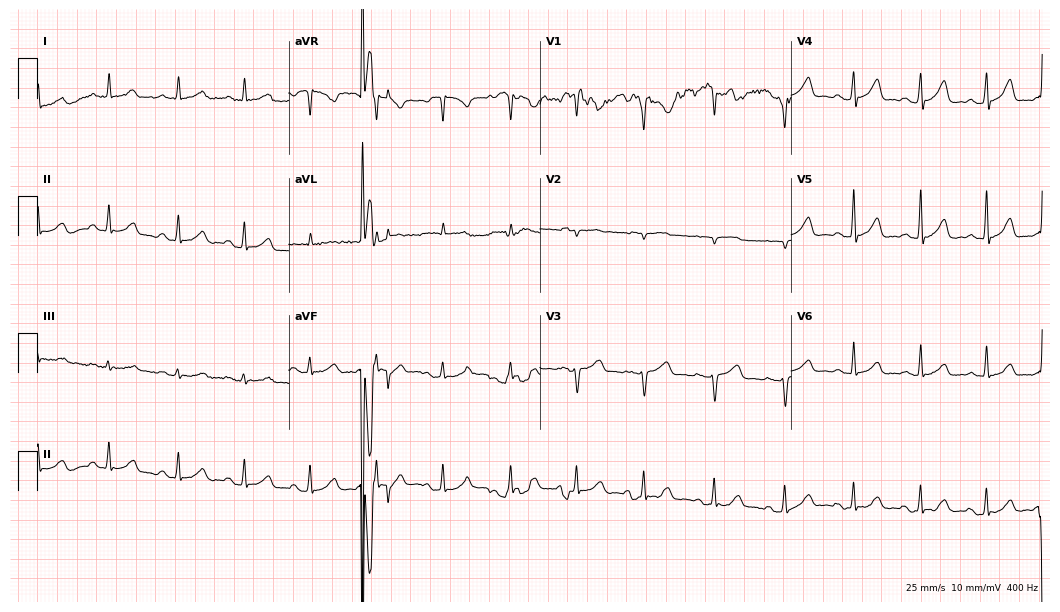
Standard 12-lead ECG recorded from a female, 49 years old. None of these six findings is recorded: first-degree AV block, right bundle branch block, left bundle branch block, sinus bradycardia, atrial fibrillation, sinus tachycardia. Only these six findings were labelled.